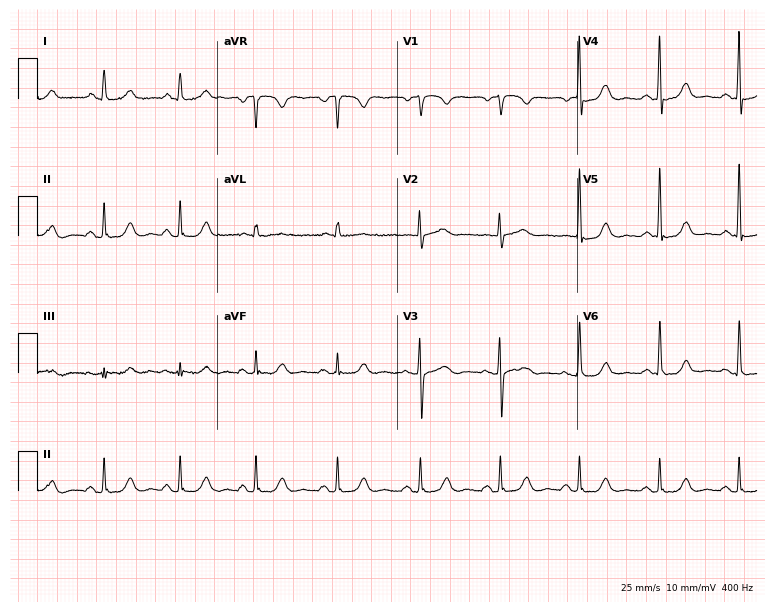
12-lead ECG (7.3-second recording at 400 Hz) from a male patient, 54 years old. Labelled as a normal ECG.